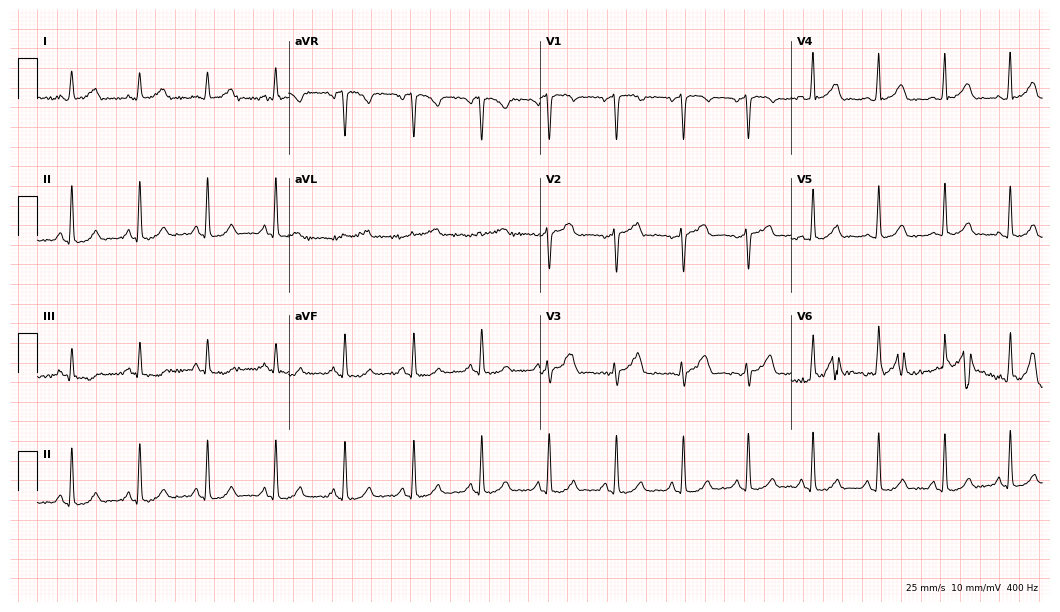
Standard 12-lead ECG recorded from a female patient, 43 years old (10.2-second recording at 400 Hz). Read as a normal ECG.